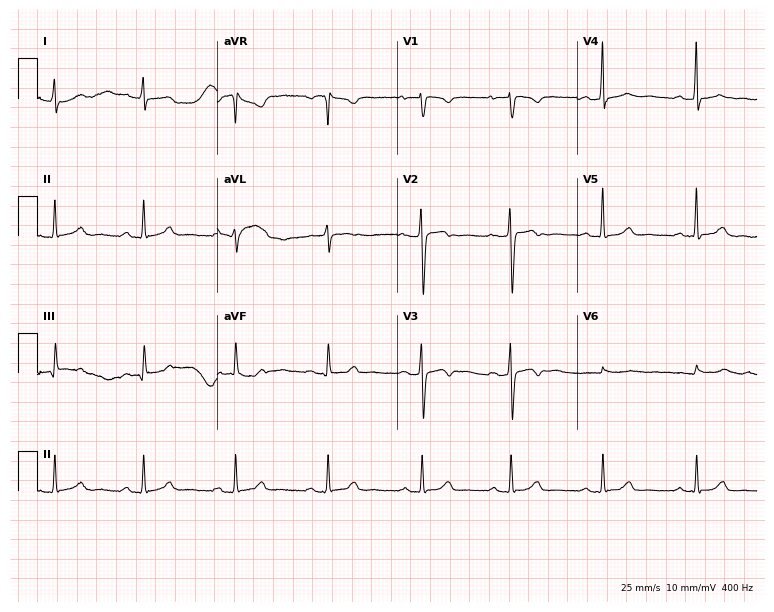
Resting 12-lead electrocardiogram. Patient: a female, 40 years old. None of these six findings is recorded: first-degree AV block, right bundle branch block (RBBB), left bundle branch block (LBBB), sinus bradycardia, atrial fibrillation (AF), sinus tachycardia.